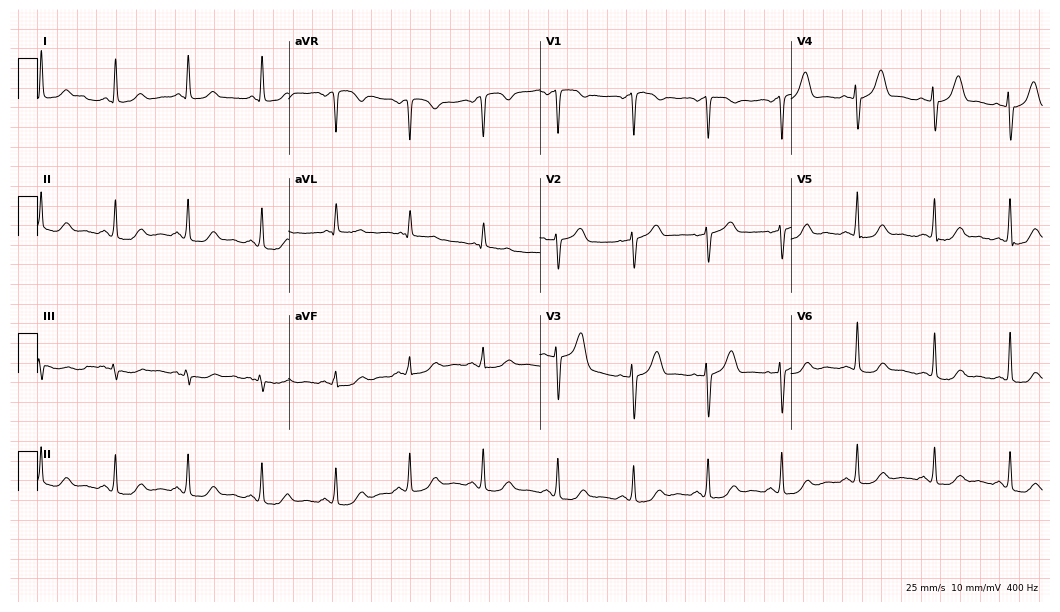
Standard 12-lead ECG recorded from a 59-year-old woman. Read as a normal ECG.